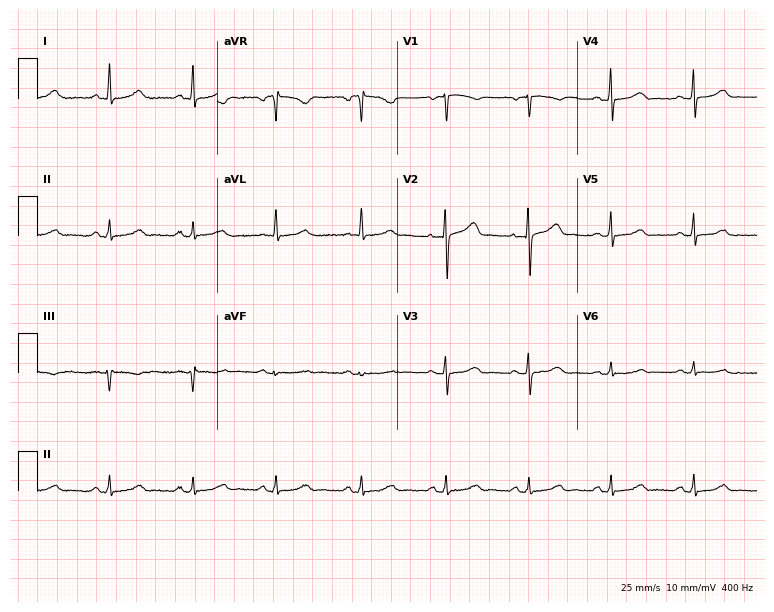
Resting 12-lead electrocardiogram. Patient: a woman, 69 years old. Read as a normal ECG.